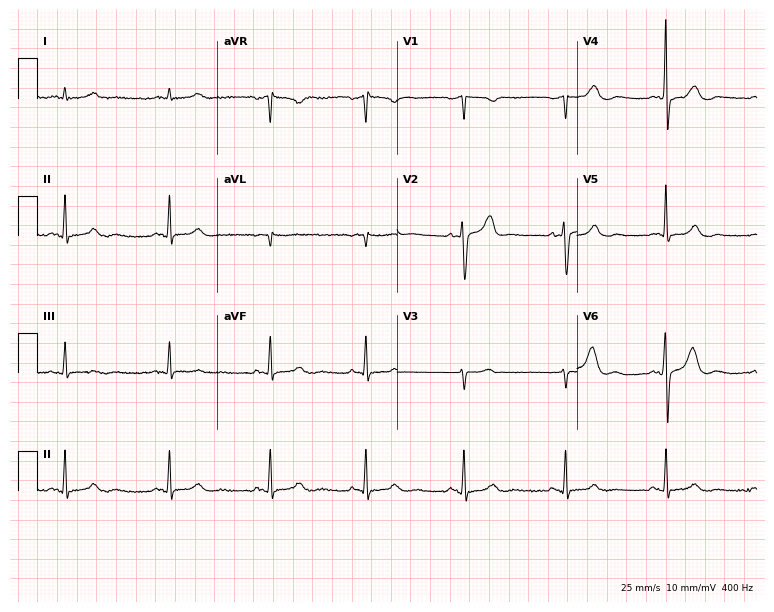
Electrocardiogram, a 67-year-old male patient. Overall reading on record: normal ECG.